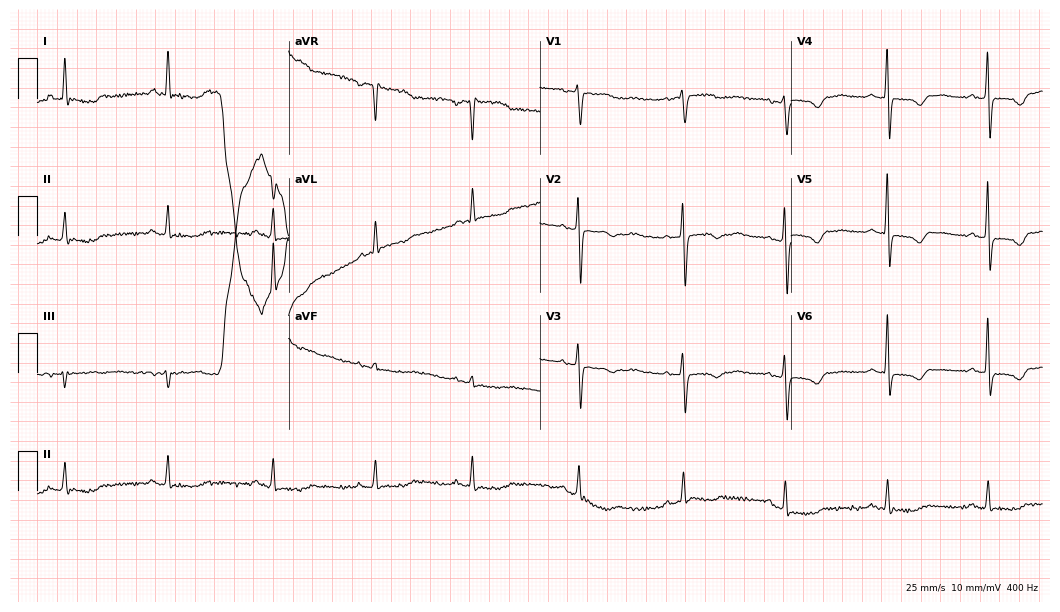
12-lead ECG from a woman, 82 years old (10.2-second recording at 400 Hz). No first-degree AV block, right bundle branch block, left bundle branch block, sinus bradycardia, atrial fibrillation or sinus tachycardia recorded for this tracing.